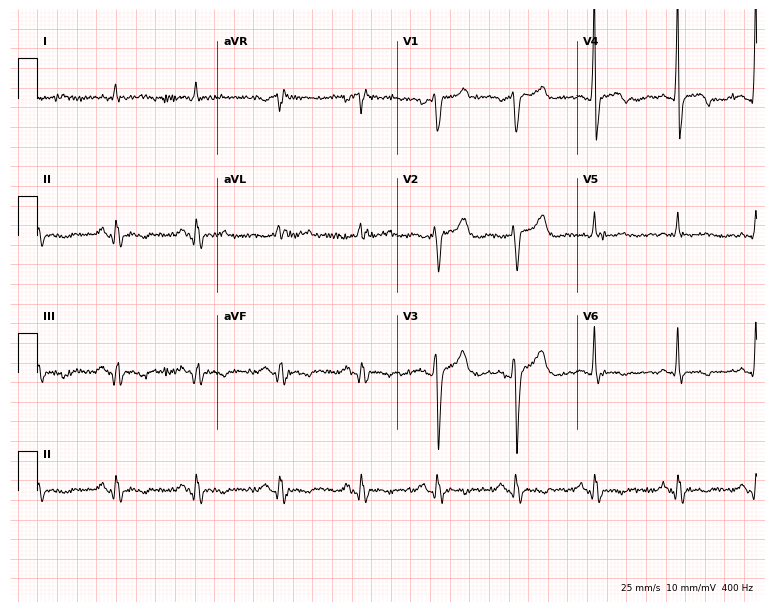
ECG — a 72-year-old male patient. Screened for six findings — first-degree AV block, right bundle branch block, left bundle branch block, sinus bradycardia, atrial fibrillation, sinus tachycardia — none is recorded.